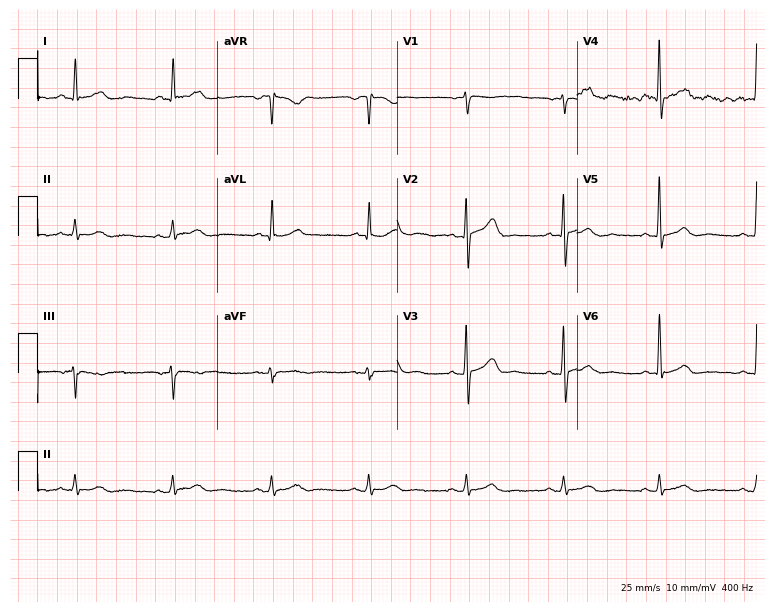
12-lead ECG from a male, 74 years old. Labelled as a normal ECG.